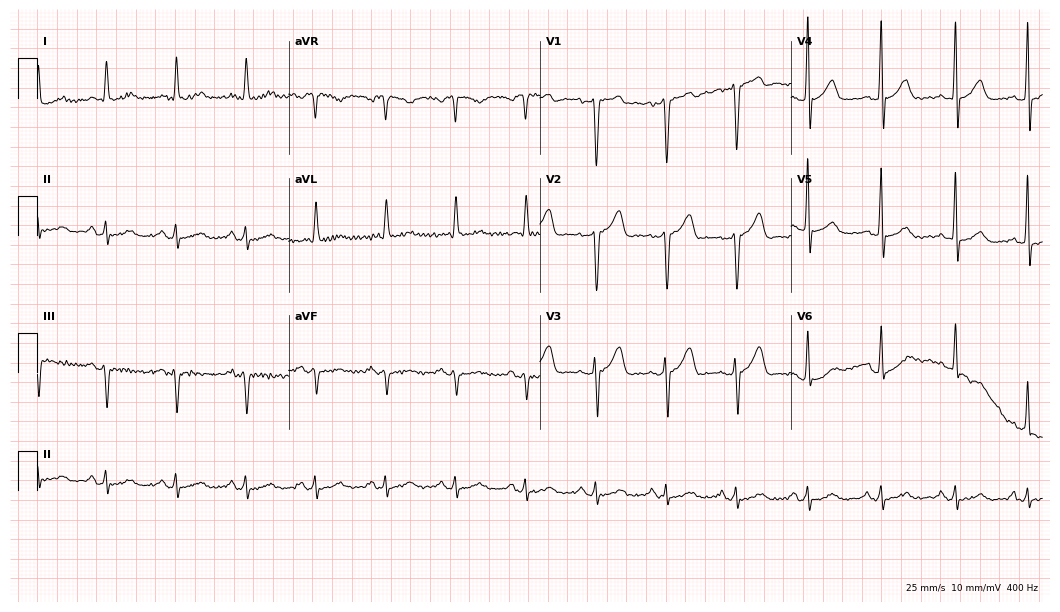
Standard 12-lead ECG recorded from a 69-year-old male (10.2-second recording at 400 Hz). None of these six findings is recorded: first-degree AV block, right bundle branch block (RBBB), left bundle branch block (LBBB), sinus bradycardia, atrial fibrillation (AF), sinus tachycardia. Findings outside these six are not listed.